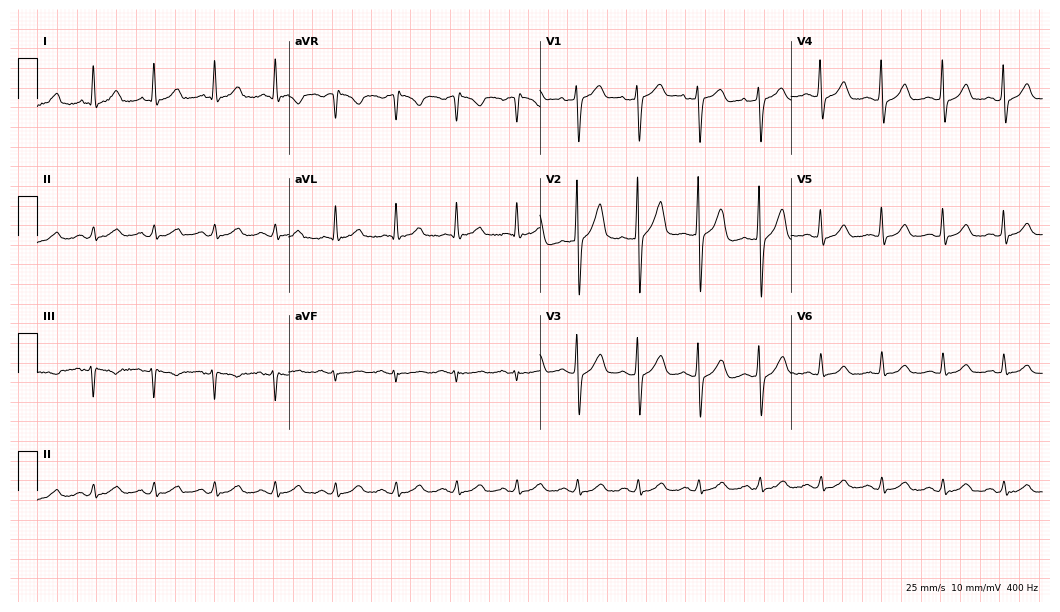
Standard 12-lead ECG recorded from a 67-year-old male (10.2-second recording at 400 Hz). Read as a normal ECG.